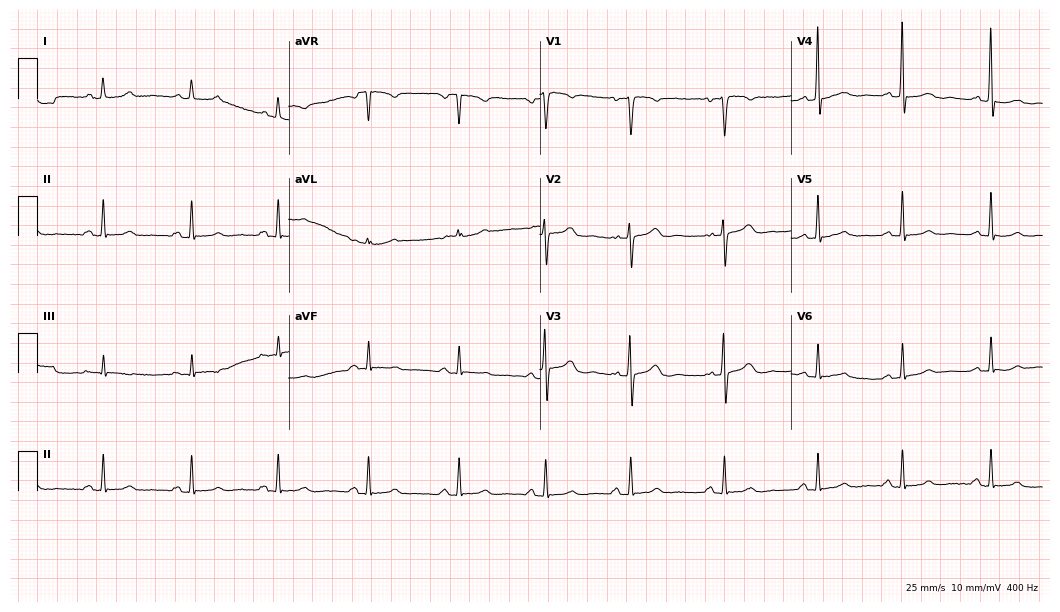
Electrocardiogram, a woman, 42 years old. Overall reading on record: normal ECG.